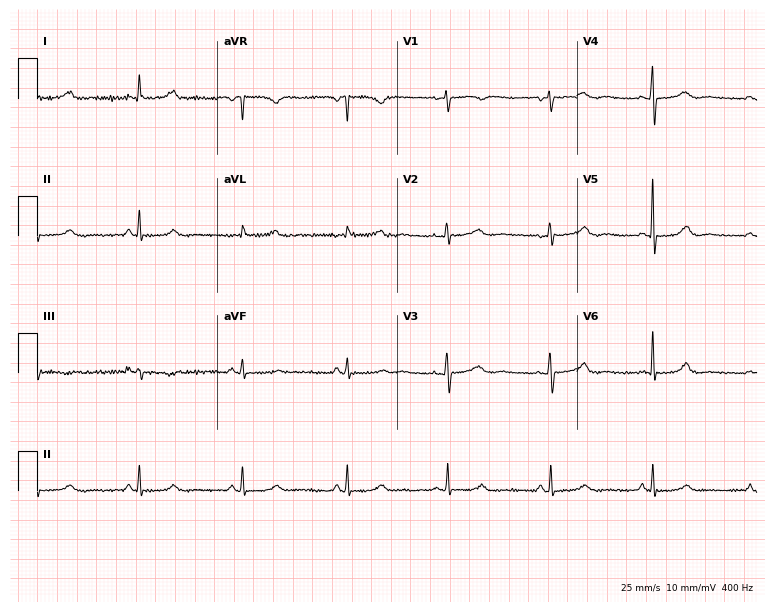
Electrocardiogram, a 64-year-old woman. Overall reading on record: normal ECG.